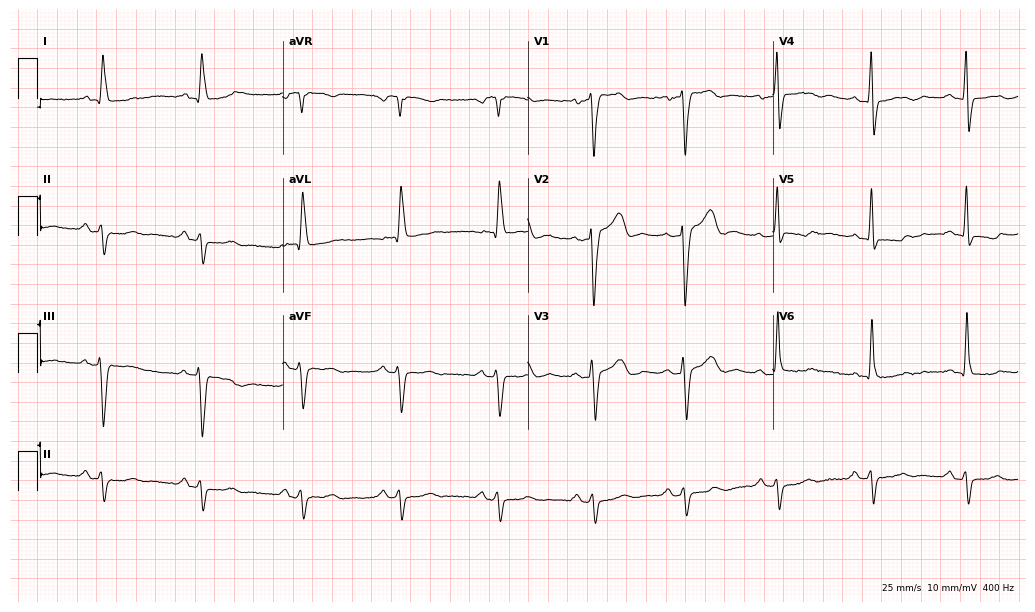
12-lead ECG (10-second recording at 400 Hz) from a 70-year-old male. Screened for six findings — first-degree AV block, right bundle branch block (RBBB), left bundle branch block (LBBB), sinus bradycardia, atrial fibrillation (AF), sinus tachycardia — none is recorded.